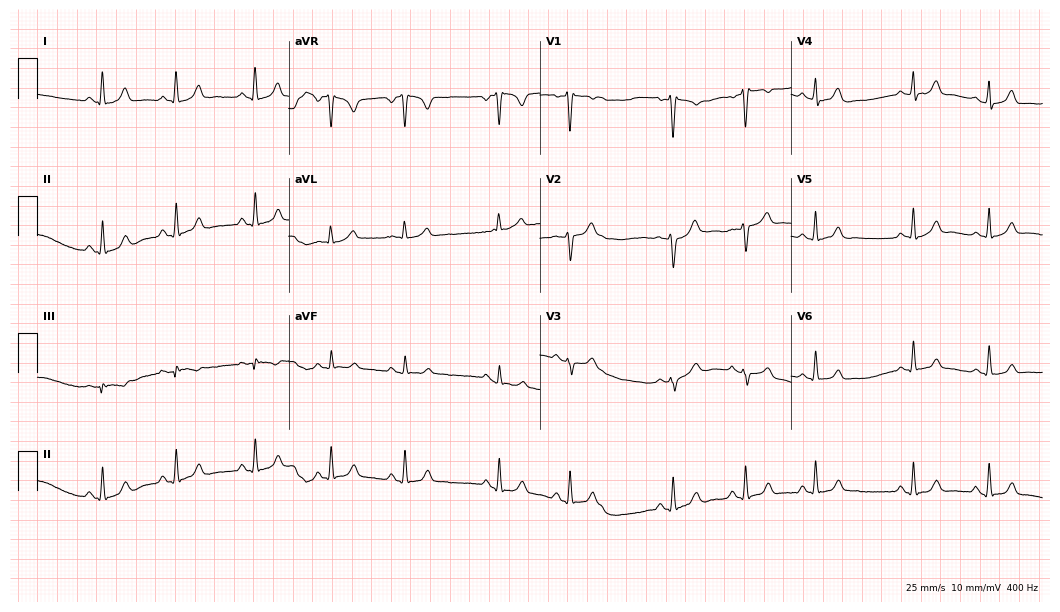
12-lead ECG from a 32-year-old woman. Recorded interpretation: within normal limits.